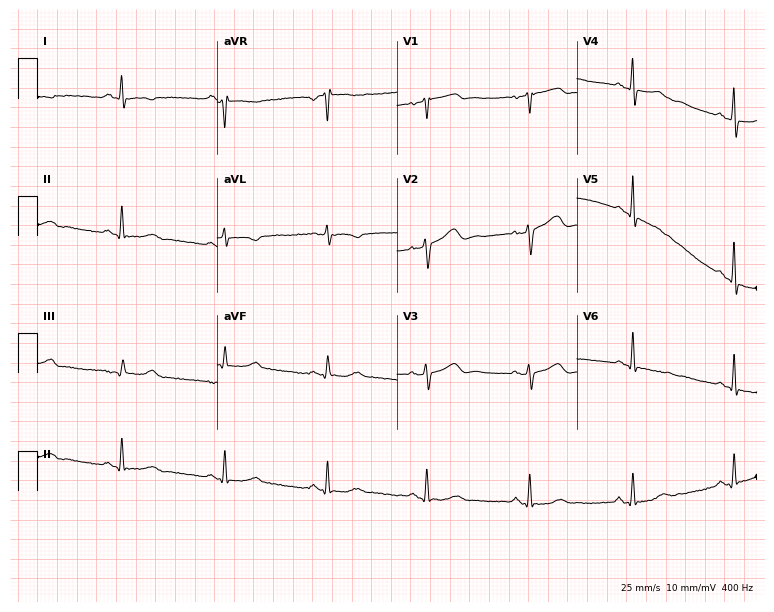
Electrocardiogram (7.3-second recording at 400 Hz), a woman, 57 years old. Of the six screened findings (first-degree AV block, right bundle branch block, left bundle branch block, sinus bradycardia, atrial fibrillation, sinus tachycardia), none is recorded.